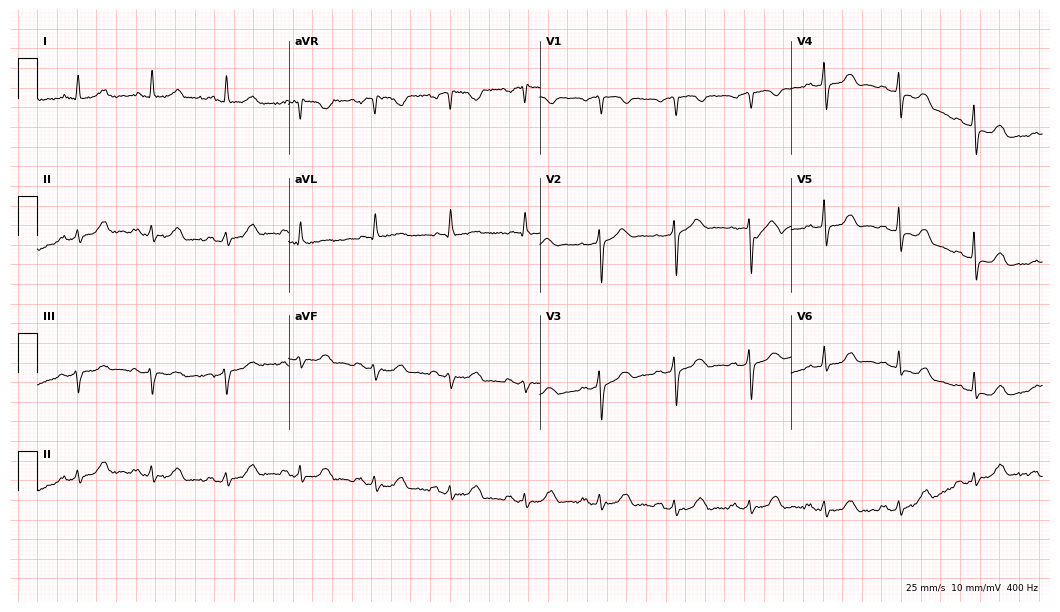
Resting 12-lead electrocardiogram (10.2-second recording at 400 Hz). Patient: a female, 68 years old. Read as a normal ECG.